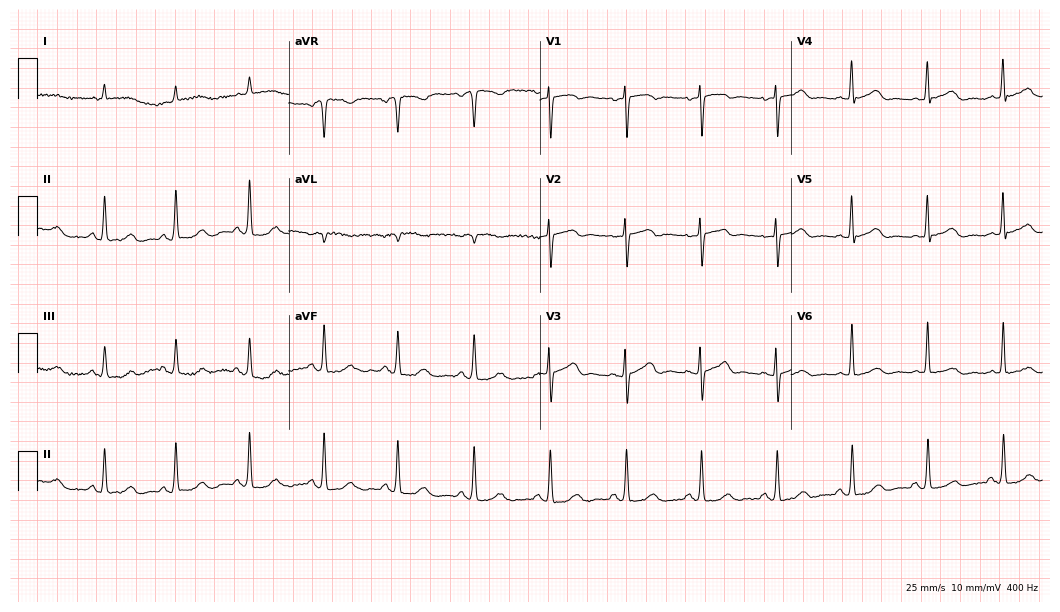
ECG — a woman, 79 years old. Labelled as a normal ECG.